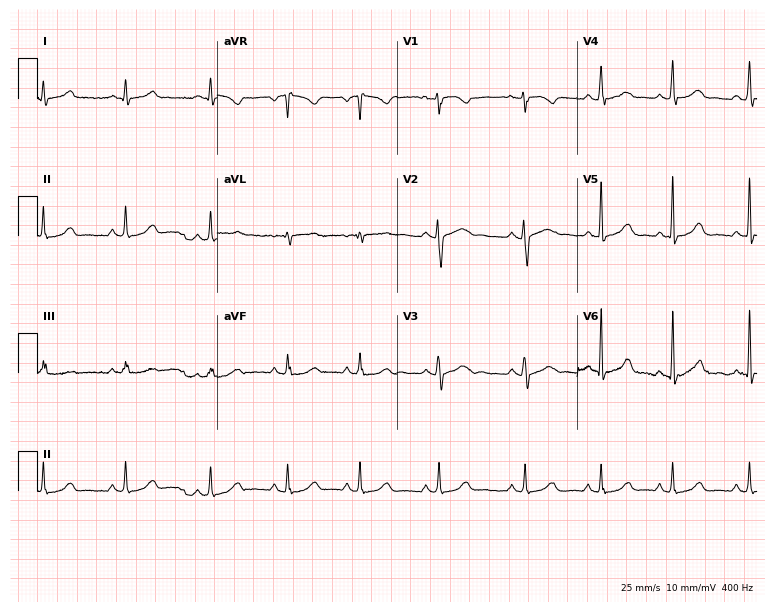
12-lead ECG from a 19-year-old woman. Recorded interpretation: within normal limits.